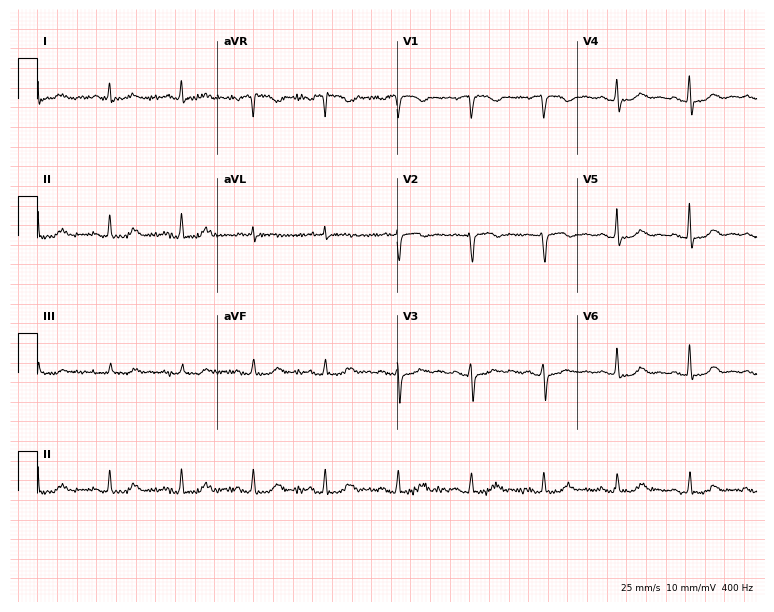
ECG (7.3-second recording at 400 Hz) — a 65-year-old woman. Labelled as a normal ECG.